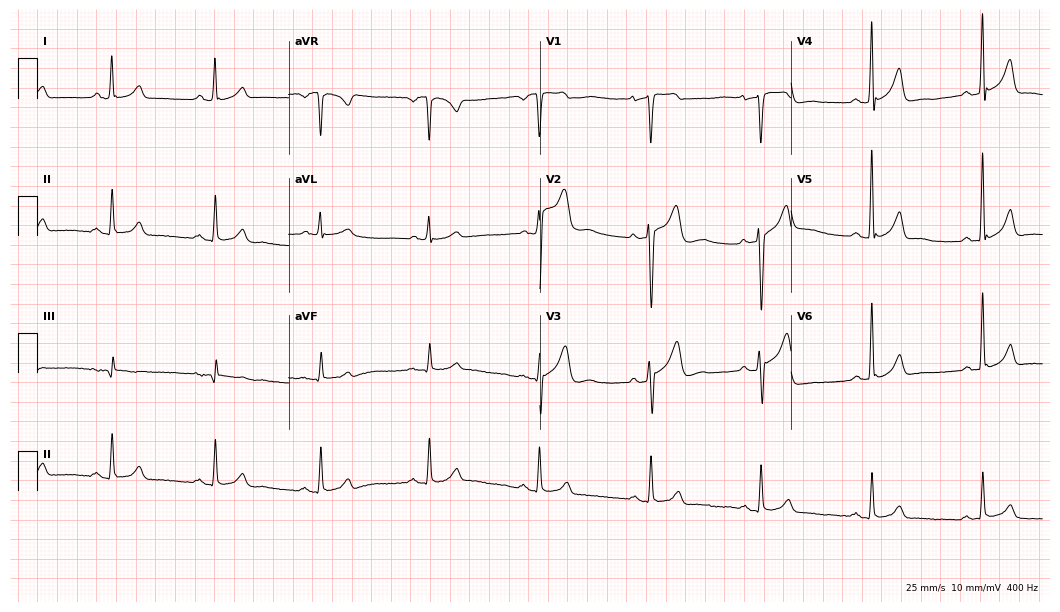
Resting 12-lead electrocardiogram. Patient: a man, 50 years old. None of these six findings is recorded: first-degree AV block, right bundle branch block, left bundle branch block, sinus bradycardia, atrial fibrillation, sinus tachycardia.